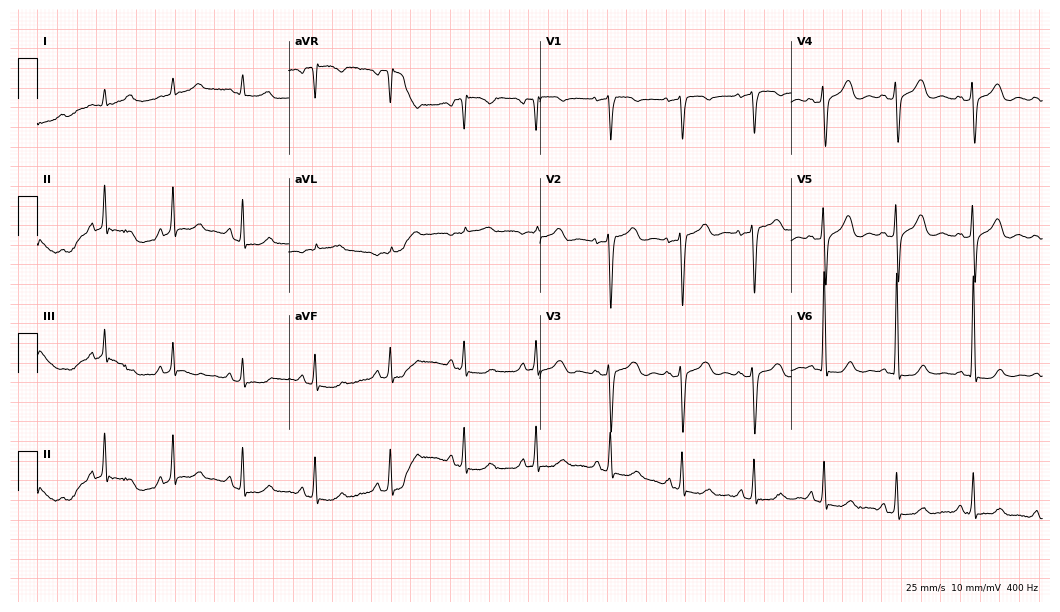
ECG — a 73-year-old female. Labelled as a normal ECG.